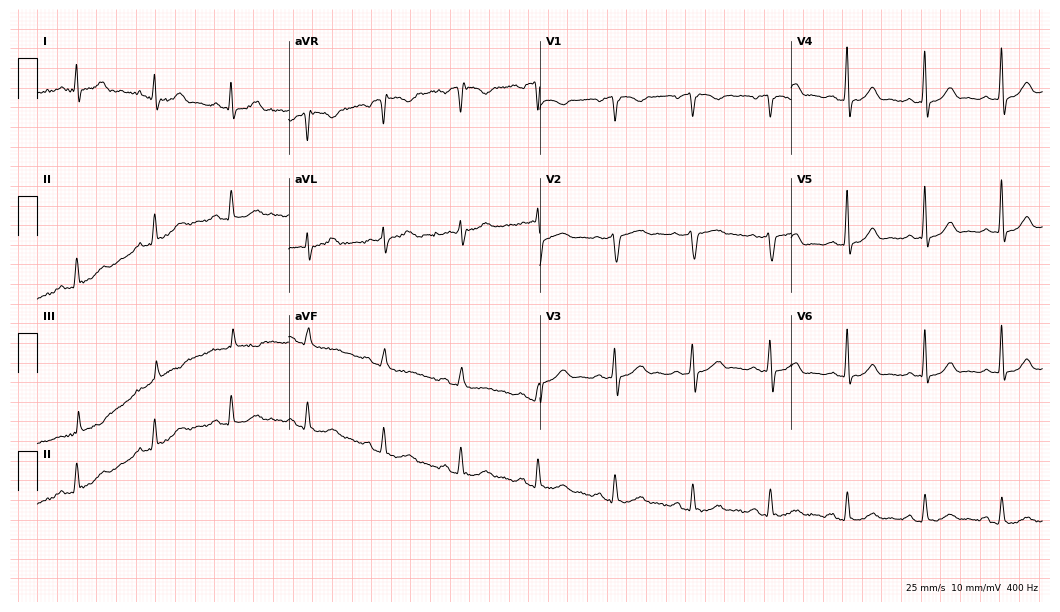
Resting 12-lead electrocardiogram (10.2-second recording at 400 Hz). Patient: a male, 66 years old. Read as a normal ECG.